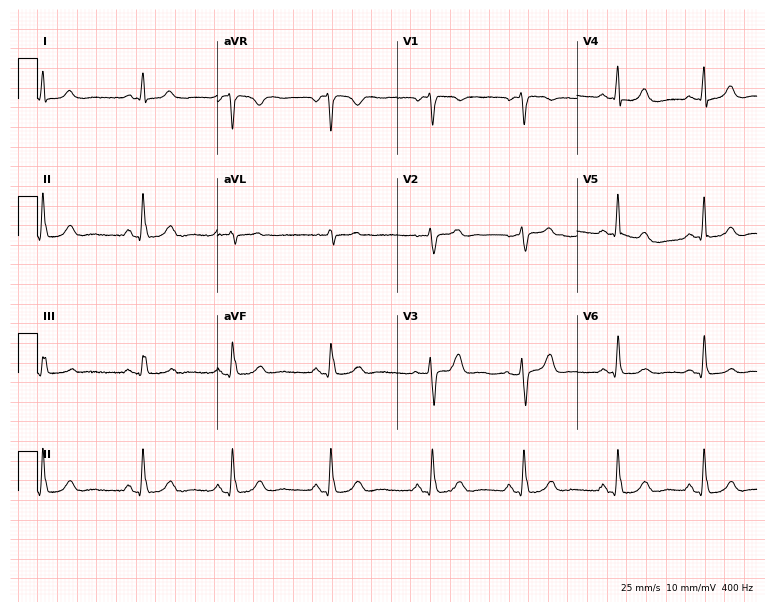
Electrocardiogram (7.3-second recording at 400 Hz), a 46-year-old female. Overall reading on record: normal ECG.